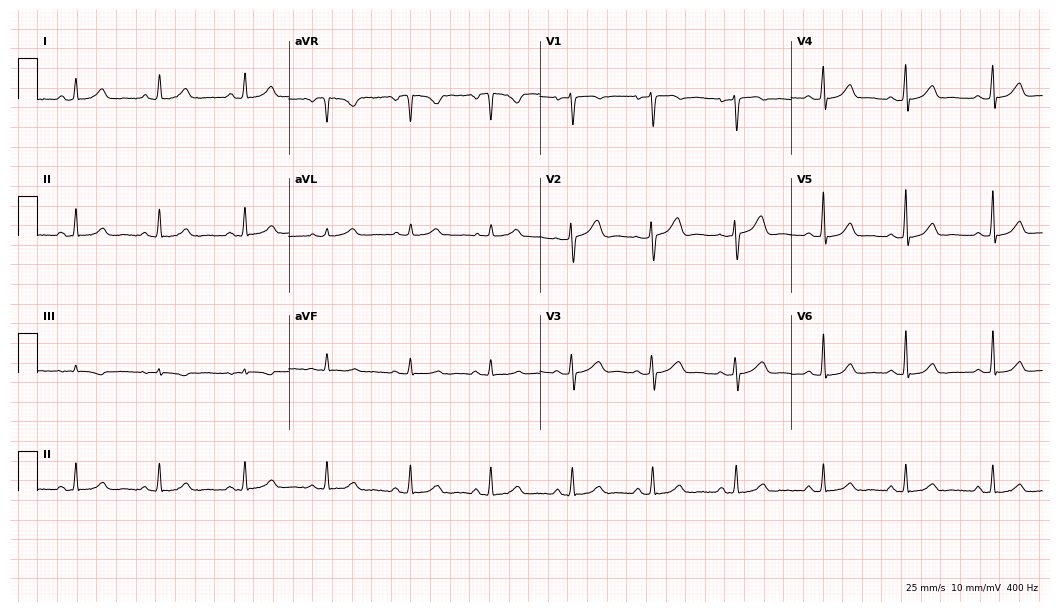
Resting 12-lead electrocardiogram (10.2-second recording at 400 Hz). Patient: a 45-year-old female. Read as a normal ECG.